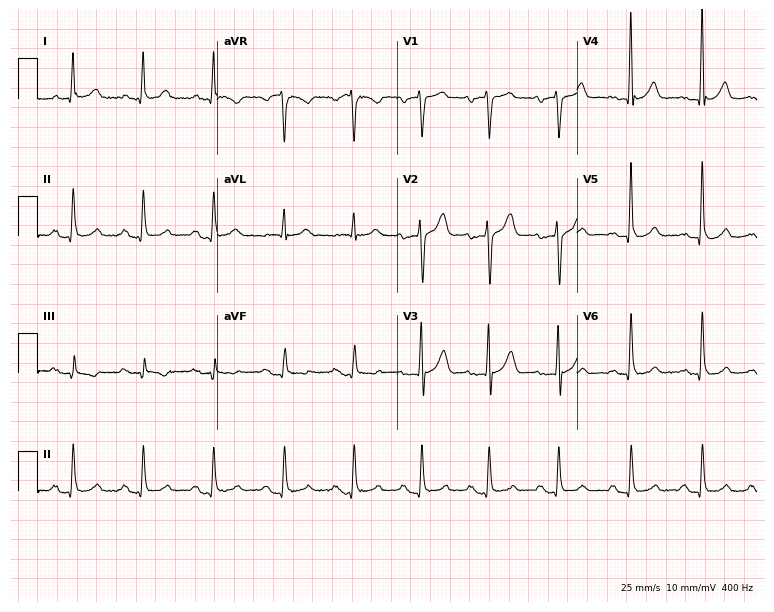
12-lead ECG from a male, 62 years old (7.3-second recording at 400 Hz). No first-degree AV block, right bundle branch block, left bundle branch block, sinus bradycardia, atrial fibrillation or sinus tachycardia recorded for this tracing.